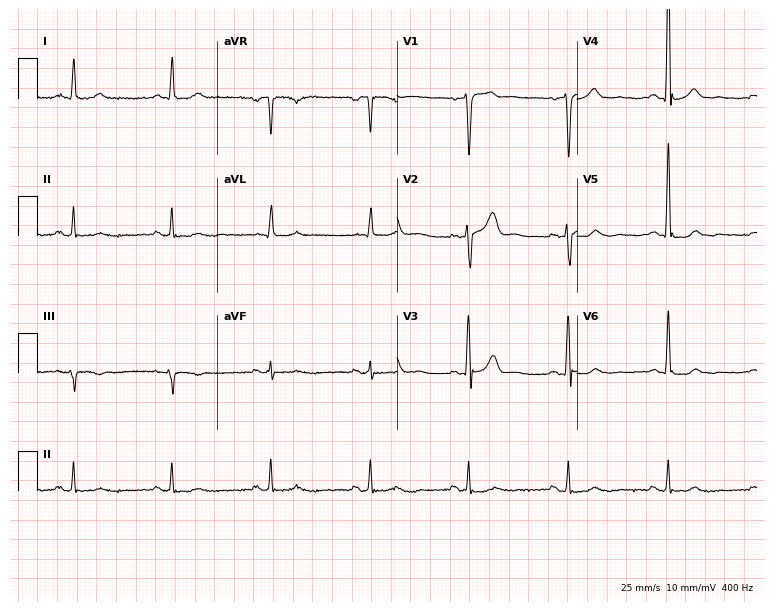
12-lead ECG from a 73-year-old male patient. Labelled as a normal ECG.